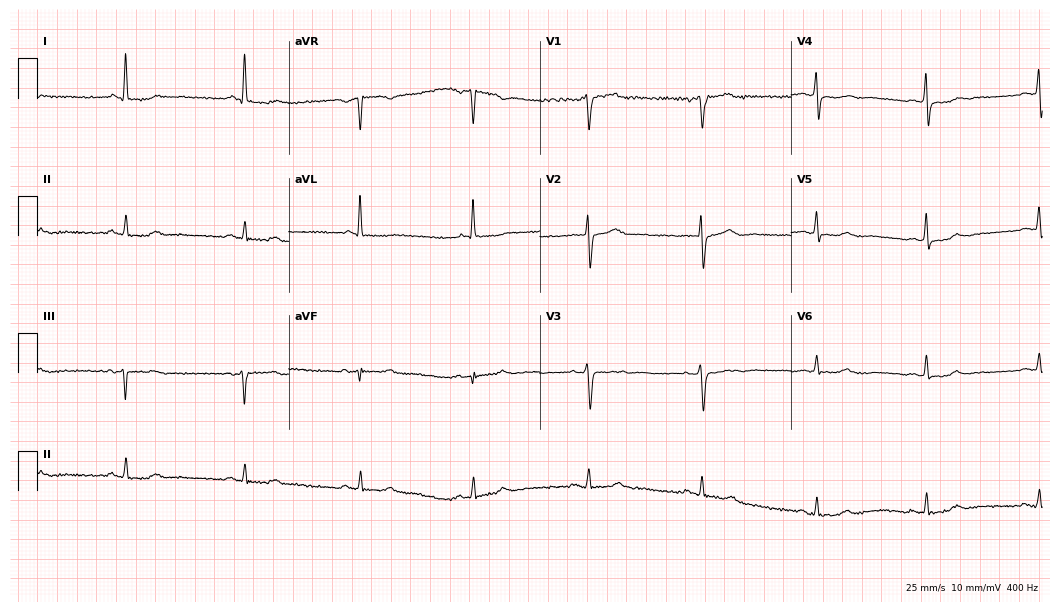
12-lead ECG from a 70-year-old female patient (10.2-second recording at 400 Hz). No first-degree AV block, right bundle branch block, left bundle branch block, sinus bradycardia, atrial fibrillation or sinus tachycardia recorded for this tracing. Other findings, if any, are not listed.